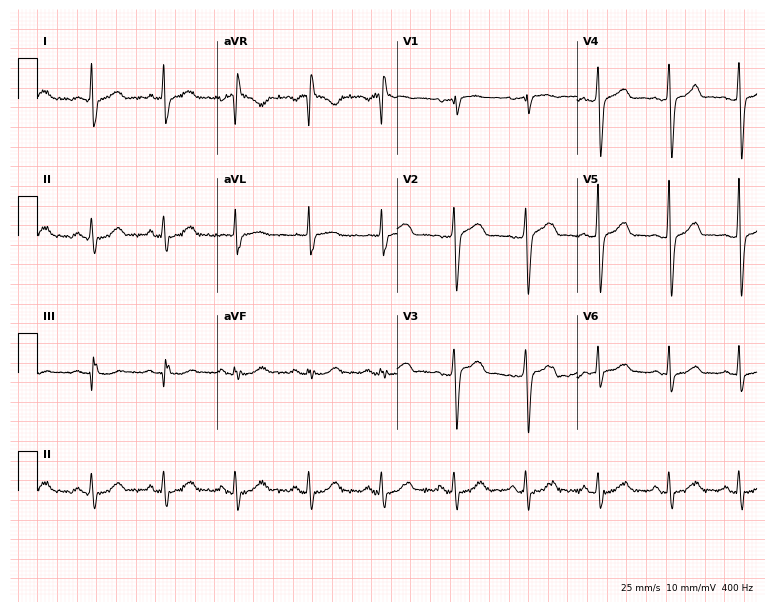
12-lead ECG from a female, 43 years old. Recorded interpretation: within normal limits.